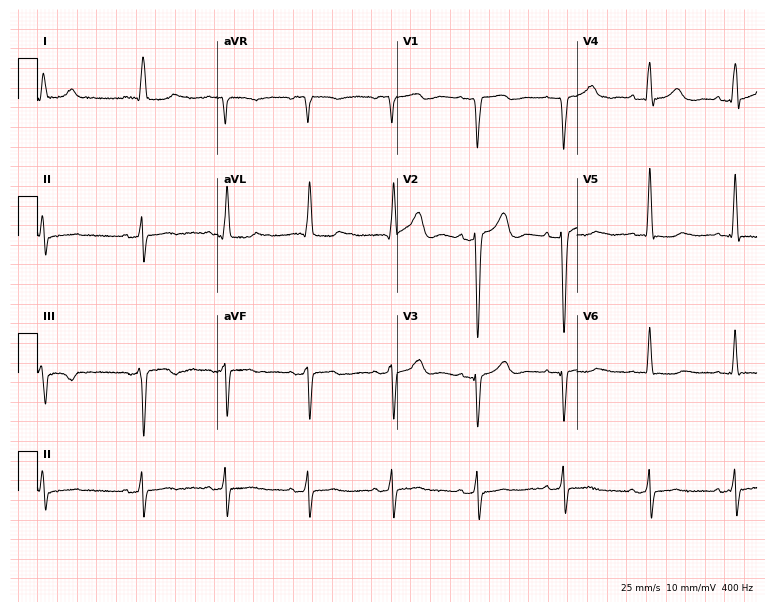
Resting 12-lead electrocardiogram. Patient: a woman, 86 years old. None of these six findings is recorded: first-degree AV block, right bundle branch block, left bundle branch block, sinus bradycardia, atrial fibrillation, sinus tachycardia. Only these six findings were labelled.